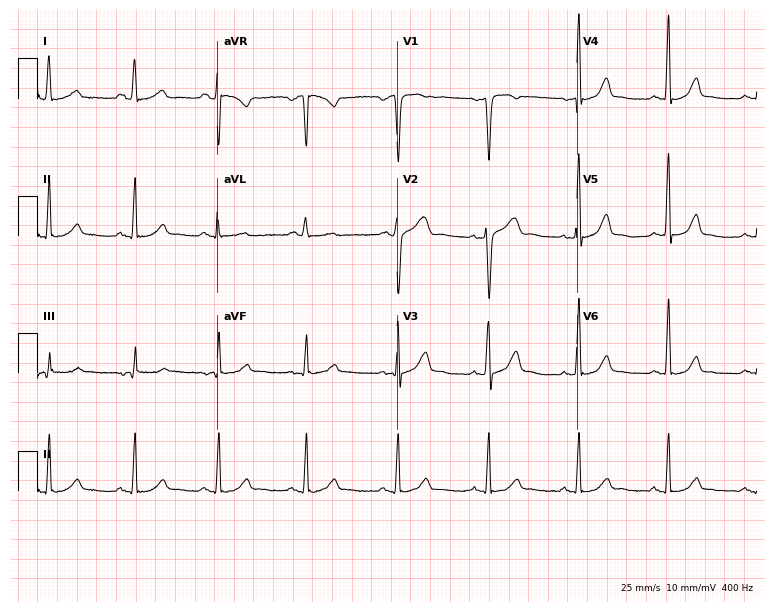
Electrocardiogram (7.3-second recording at 400 Hz), a 30-year-old female. Overall reading on record: normal ECG.